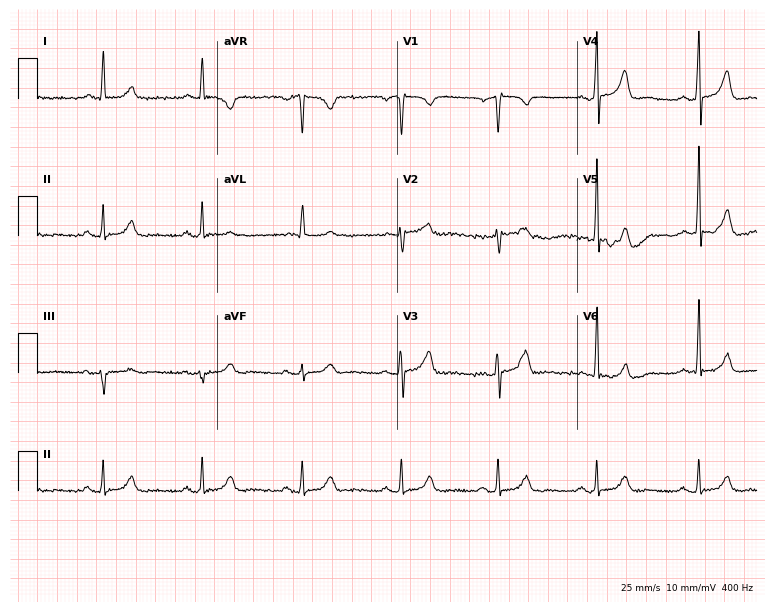
12-lead ECG from a male, 64 years old (7.3-second recording at 400 Hz). Recorded interpretation: within normal limits.